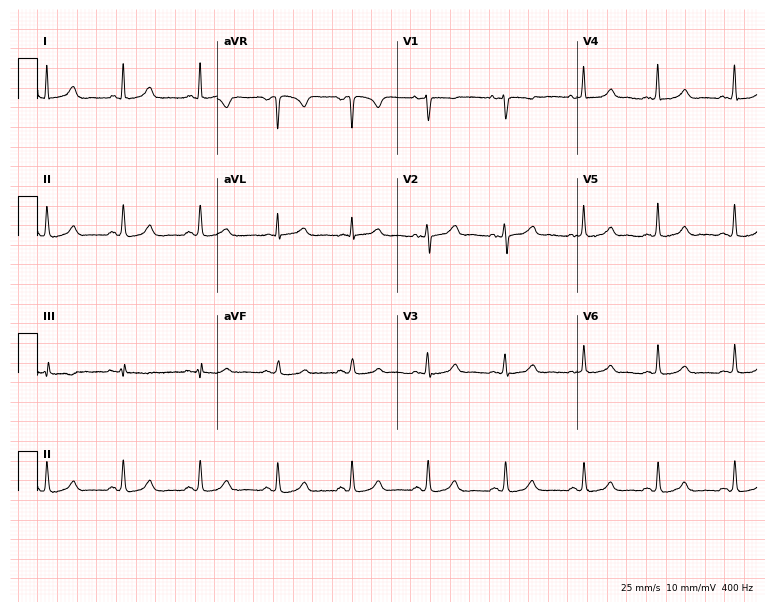
12-lead ECG from a 43-year-old female patient (7.3-second recording at 400 Hz). Recorded interpretation: within normal limits.